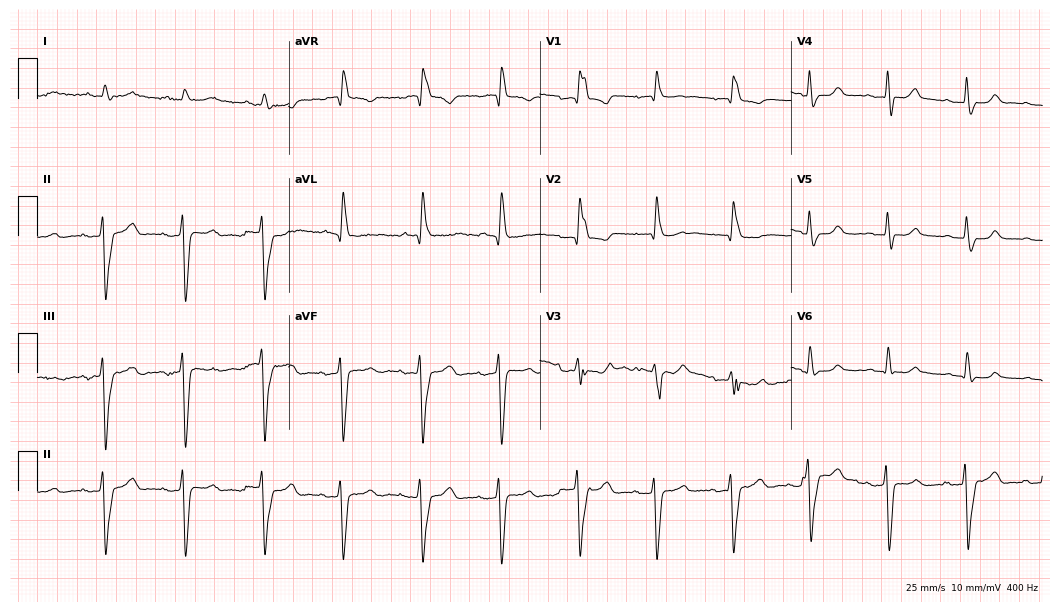
Resting 12-lead electrocardiogram. Patient: a man, 72 years old. The tracing shows right bundle branch block.